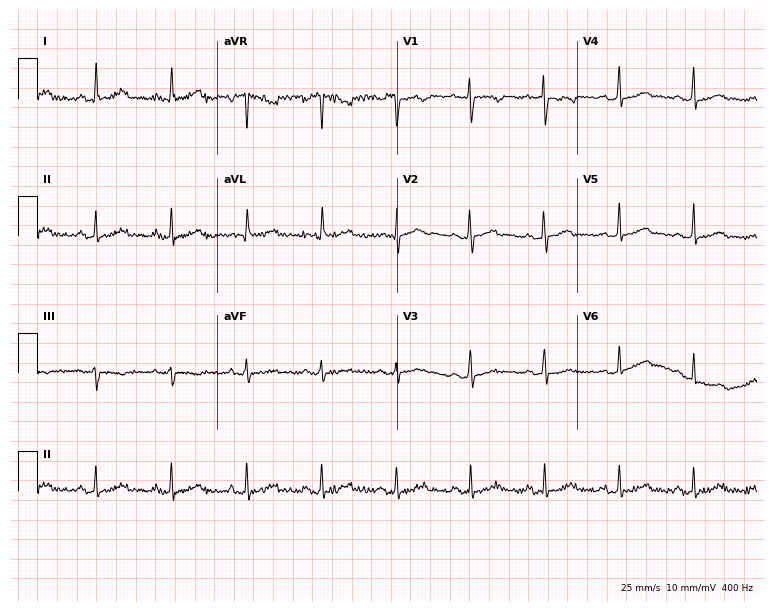
Standard 12-lead ECG recorded from a woman, 35 years old (7.3-second recording at 400 Hz). Read as a normal ECG.